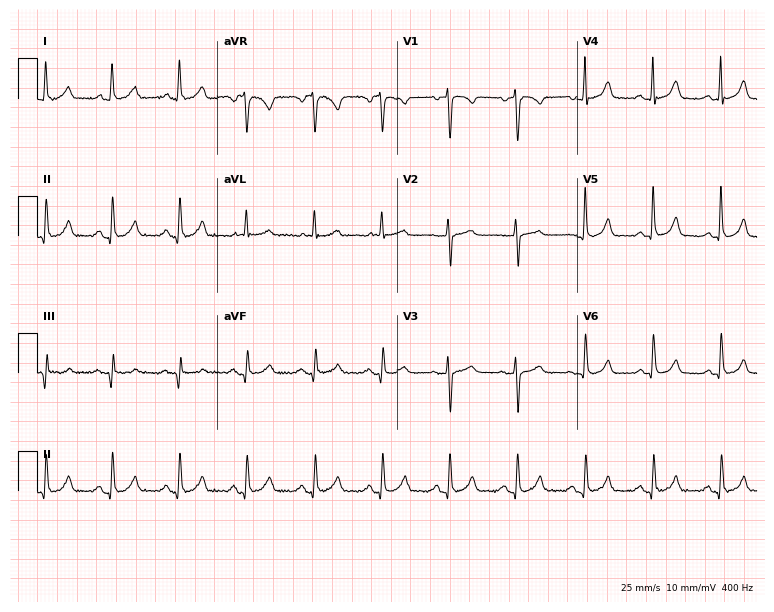
ECG (7.3-second recording at 400 Hz) — a woman, 81 years old. Screened for six findings — first-degree AV block, right bundle branch block, left bundle branch block, sinus bradycardia, atrial fibrillation, sinus tachycardia — none is recorded.